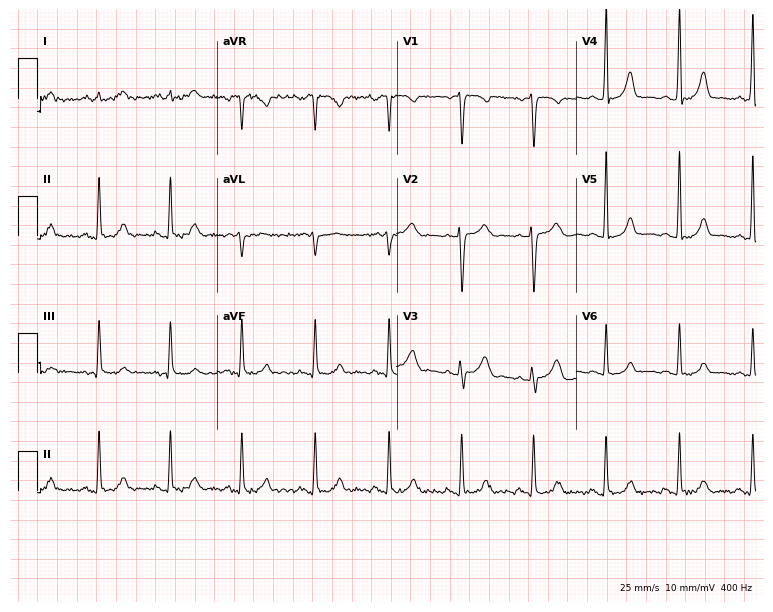
Electrocardiogram, a 69-year-old woman. Overall reading on record: normal ECG.